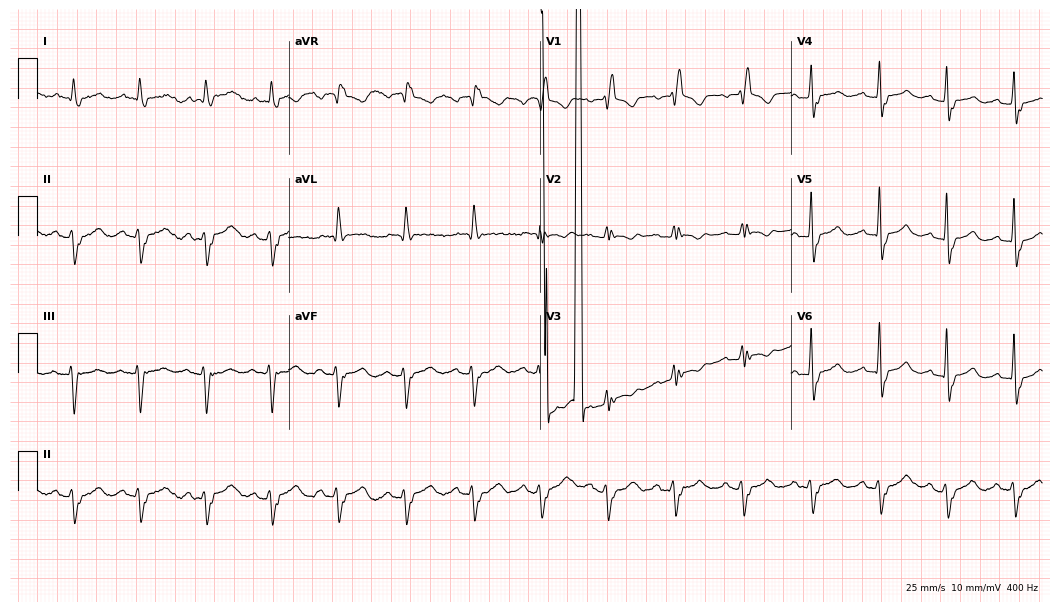
Electrocardiogram, a male, 81 years old. Interpretation includes right bundle branch block.